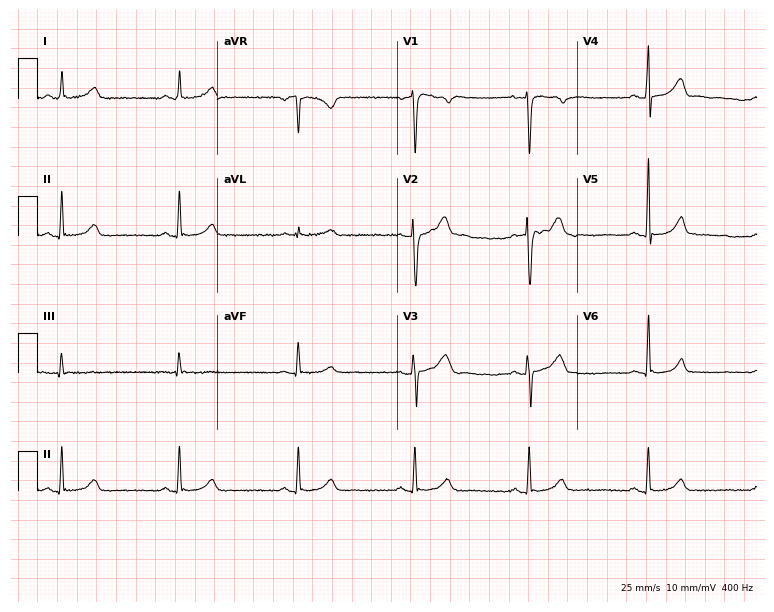
Electrocardiogram, a 33-year-old male. Overall reading on record: normal ECG.